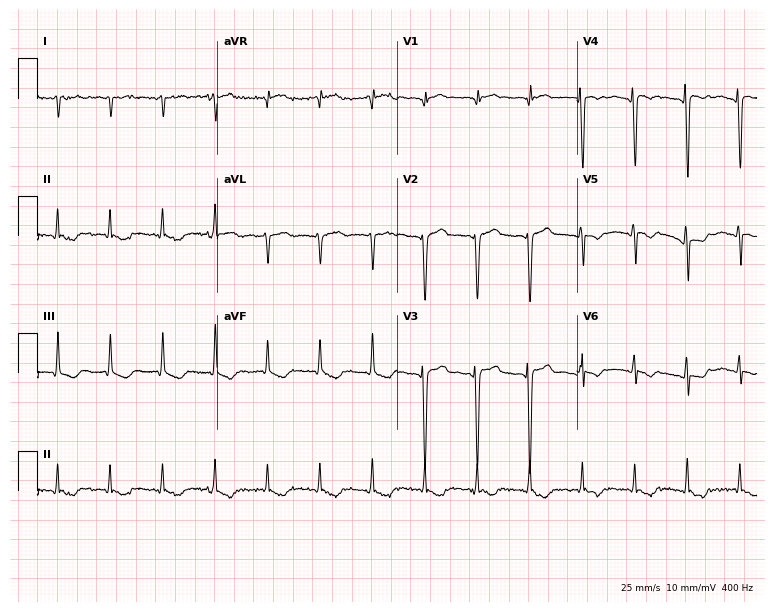
ECG — a female, 68 years old. Screened for six findings — first-degree AV block, right bundle branch block (RBBB), left bundle branch block (LBBB), sinus bradycardia, atrial fibrillation (AF), sinus tachycardia — none is recorded. Other findings, if any, are not listed.